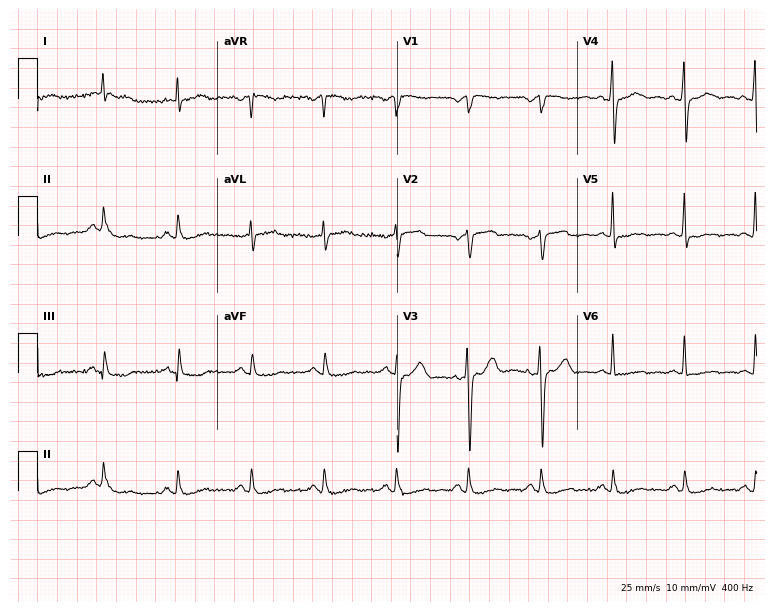
Resting 12-lead electrocardiogram (7.3-second recording at 400 Hz). Patient: a male, 56 years old. None of these six findings is recorded: first-degree AV block, right bundle branch block (RBBB), left bundle branch block (LBBB), sinus bradycardia, atrial fibrillation (AF), sinus tachycardia. Only these six findings were labelled.